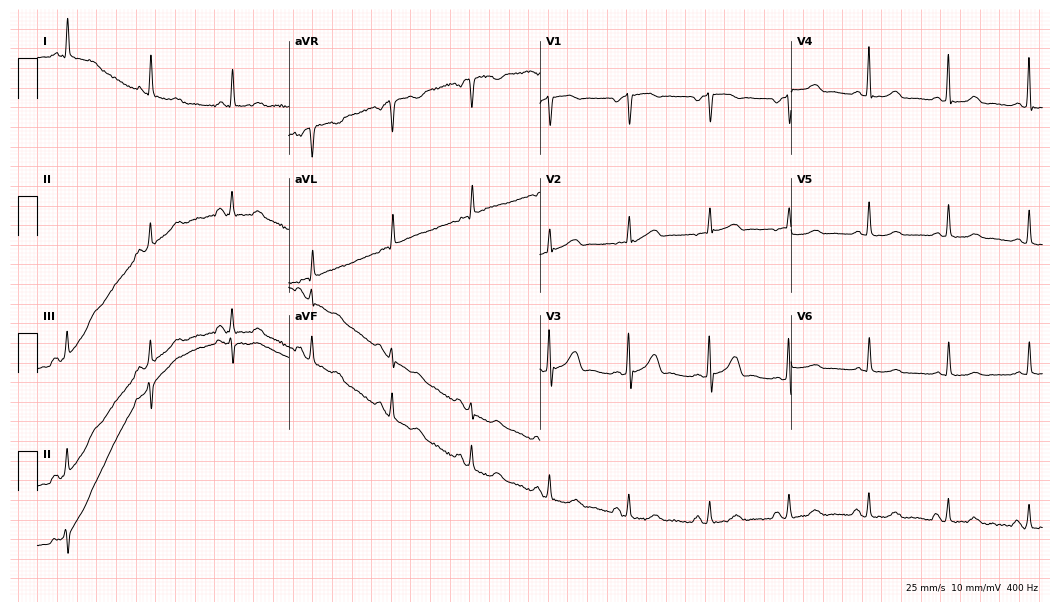
Resting 12-lead electrocardiogram. Patient: a 69-year-old woman. None of these six findings is recorded: first-degree AV block, right bundle branch block (RBBB), left bundle branch block (LBBB), sinus bradycardia, atrial fibrillation (AF), sinus tachycardia. Only these six findings were labelled.